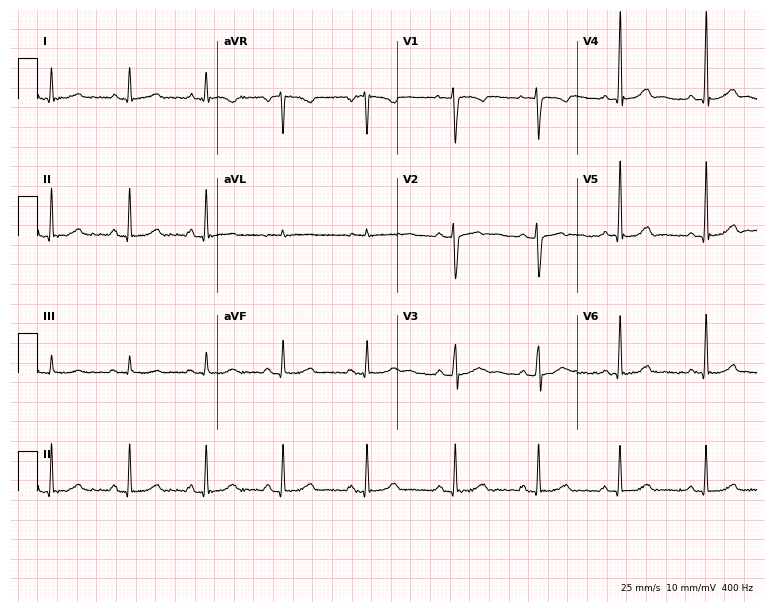
Resting 12-lead electrocardiogram (7.3-second recording at 400 Hz). Patient: a female, 28 years old. None of these six findings is recorded: first-degree AV block, right bundle branch block, left bundle branch block, sinus bradycardia, atrial fibrillation, sinus tachycardia.